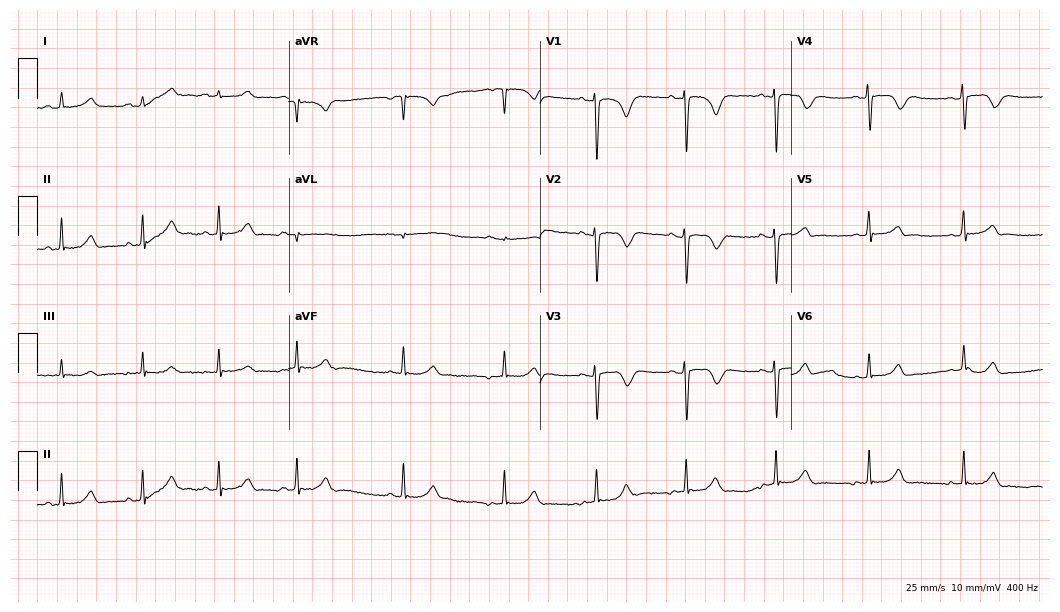
Standard 12-lead ECG recorded from a 24-year-old woman (10.2-second recording at 400 Hz). Read as a normal ECG.